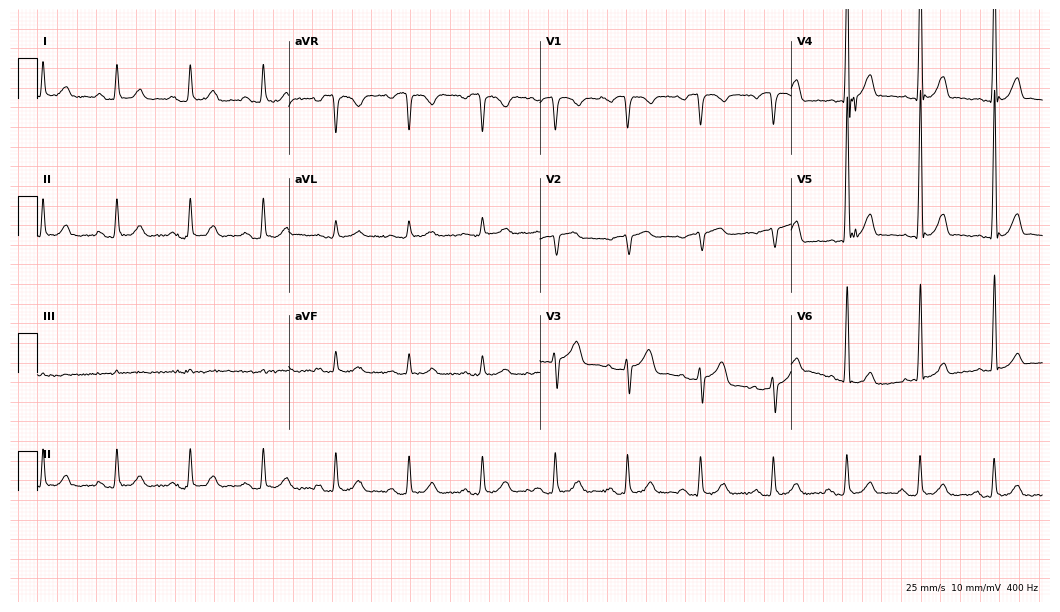
Electrocardiogram (10.2-second recording at 400 Hz), a 63-year-old man. Of the six screened findings (first-degree AV block, right bundle branch block, left bundle branch block, sinus bradycardia, atrial fibrillation, sinus tachycardia), none is recorded. Other findings, if any, are not listed.